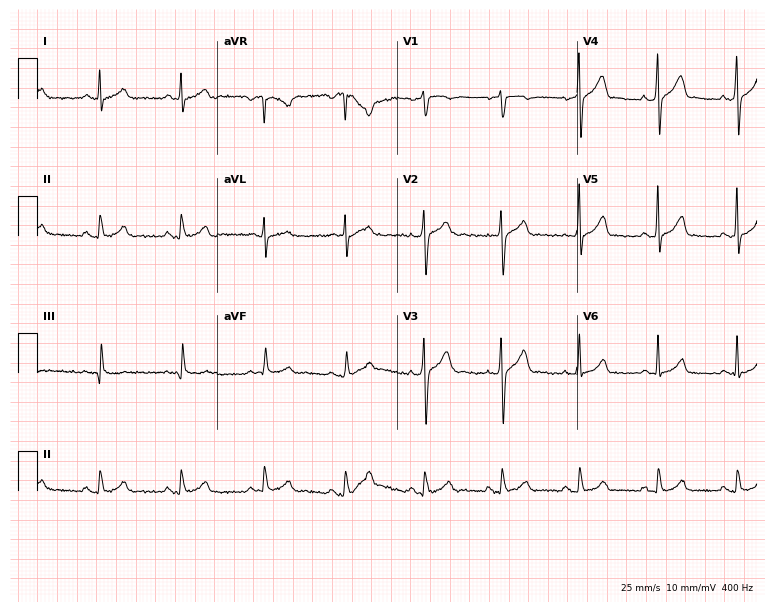
Electrocardiogram (7.3-second recording at 400 Hz), a male patient, 39 years old. Overall reading on record: normal ECG.